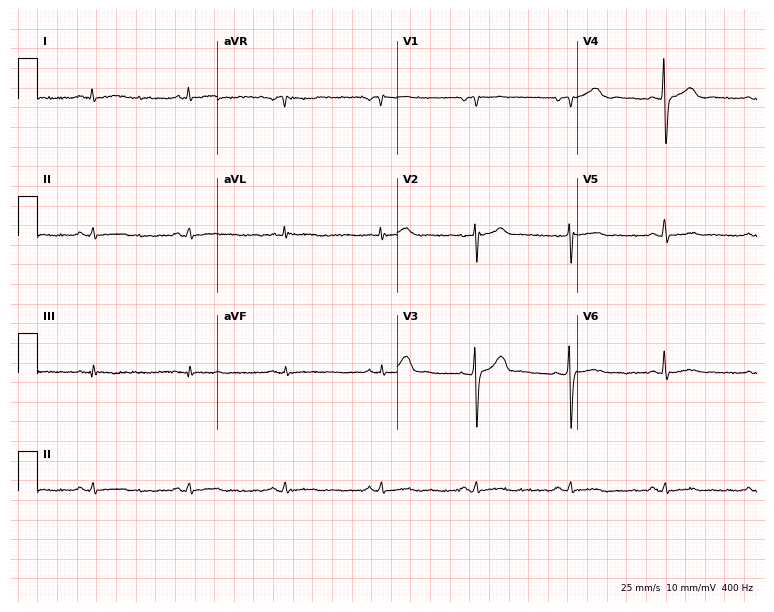
ECG (7.3-second recording at 400 Hz) — a 53-year-old man. Screened for six findings — first-degree AV block, right bundle branch block (RBBB), left bundle branch block (LBBB), sinus bradycardia, atrial fibrillation (AF), sinus tachycardia — none is recorded.